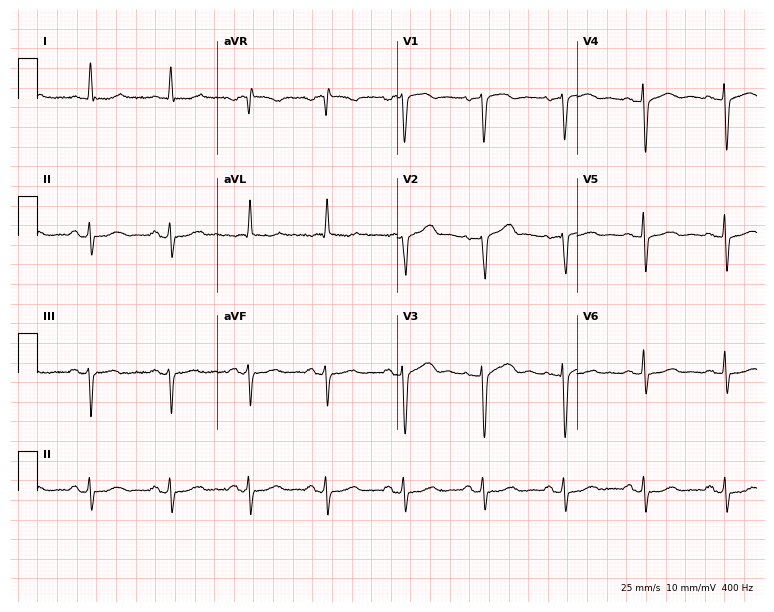
ECG — a male patient, 59 years old. Screened for six findings — first-degree AV block, right bundle branch block, left bundle branch block, sinus bradycardia, atrial fibrillation, sinus tachycardia — none is recorded. Other findings, if any, are not listed.